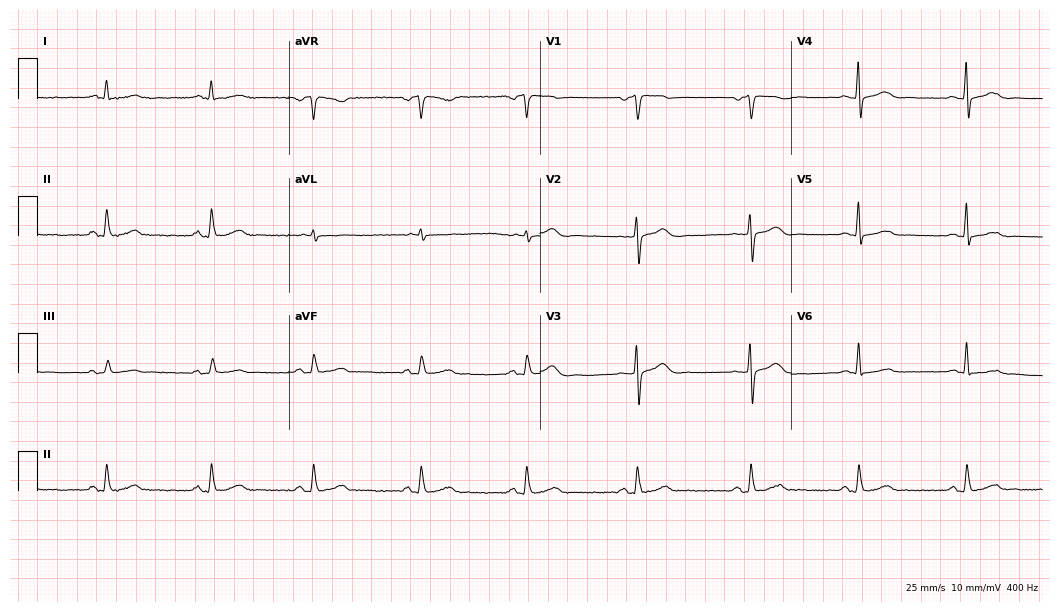
Standard 12-lead ECG recorded from a 77-year-old woman. Read as a normal ECG.